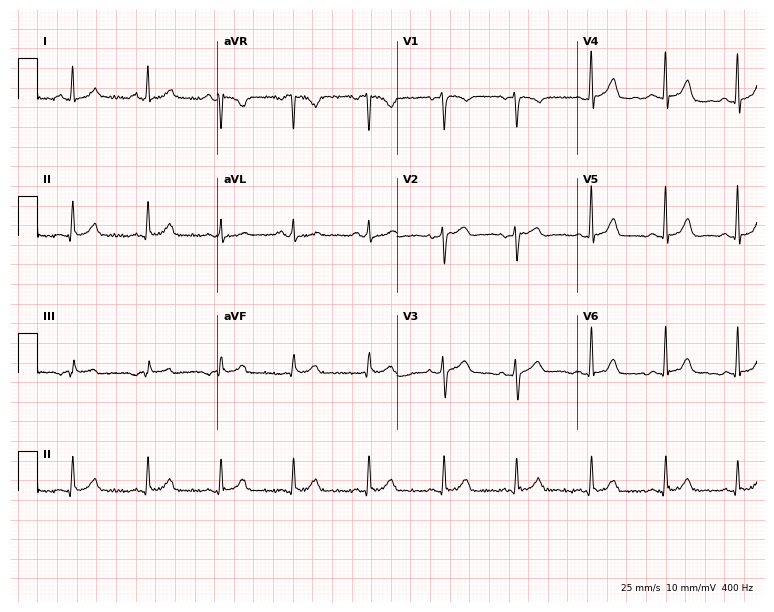
Standard 12-lead ECG recorded from a female patient, 48 years old. Read as a normal ECG.